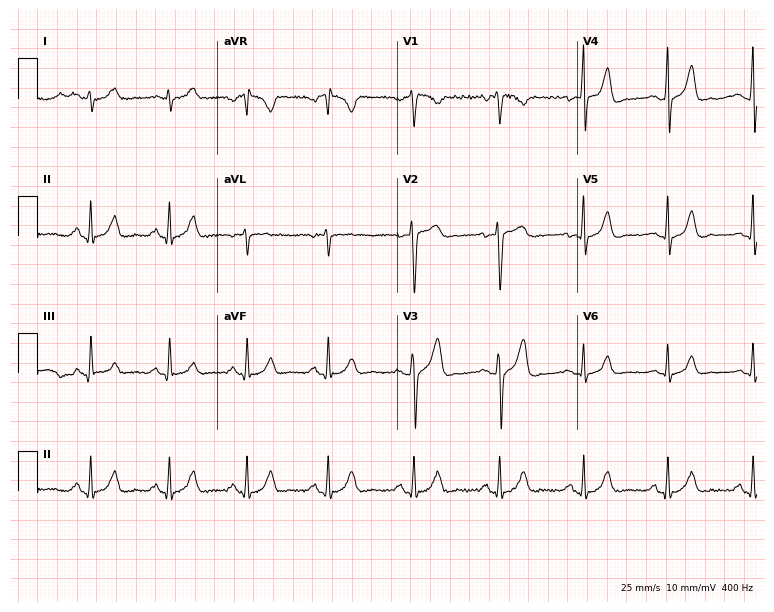
ECG (7.3-second recording at 400 Hz) — a 33-year-old male patient. Labelled as a normal ECG.